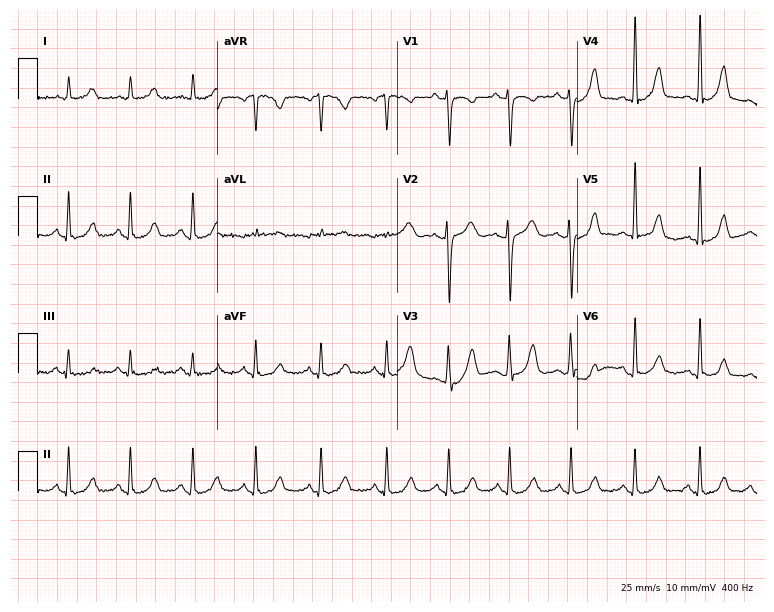
ECG — a 42-year-old female patient. Screened for six findings — first-degree AV block, right bundle branch block, left bundle branch block, sinus bradycardia, atrial fibrillation, sinus tachycardia — none is recorded. Only these six findings were labelled.